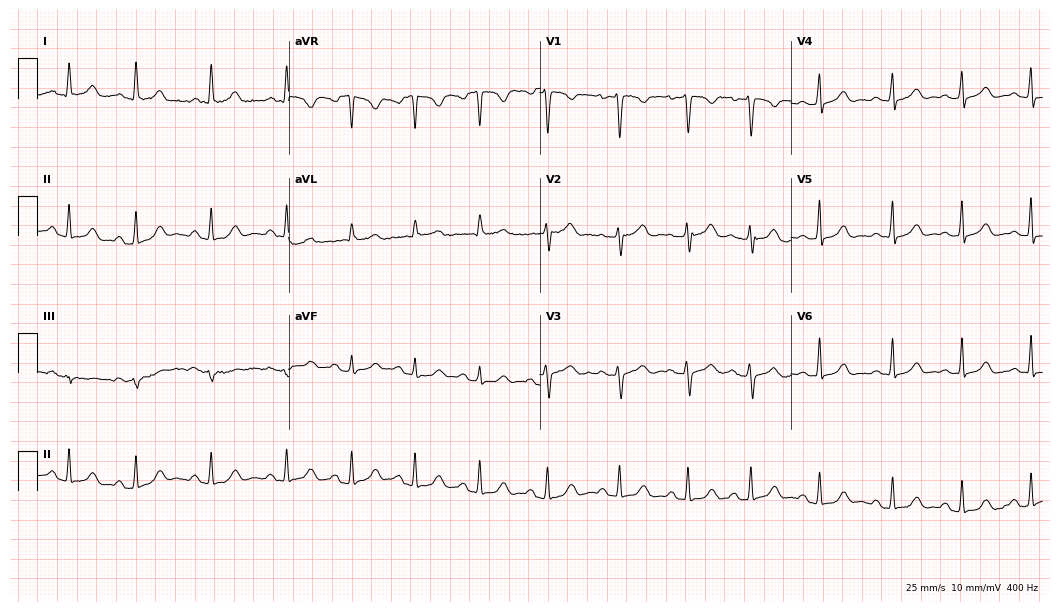
Electrocardiogram (10.2-second recording at 400 Hz), a 25-year-old female. Overall reading on record: normal ECG.